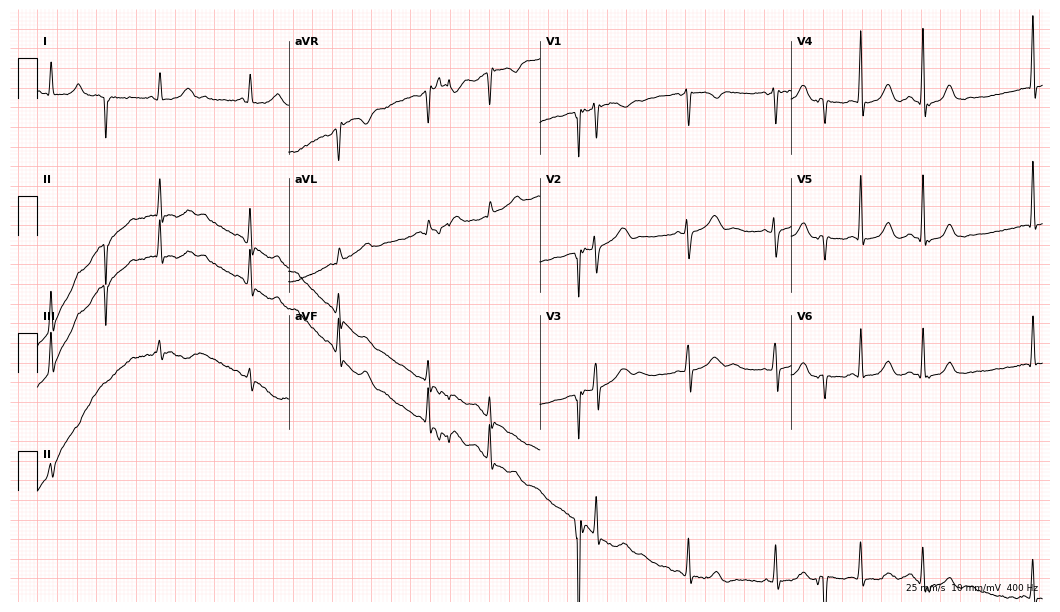
12-lead ECG from a 40-year-old female. Labelled as a normal ECG.